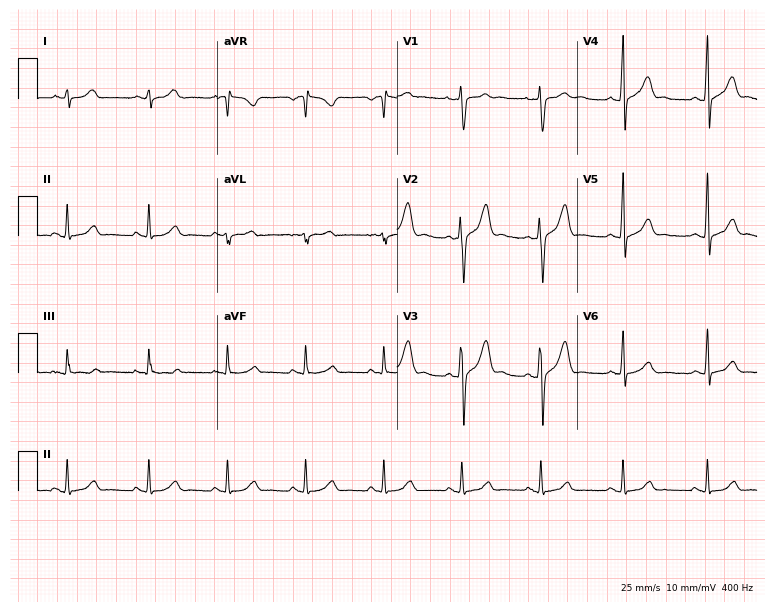
Standard 12-lead ECG recorded from a male, 36 years old. Read as a normal ECG.